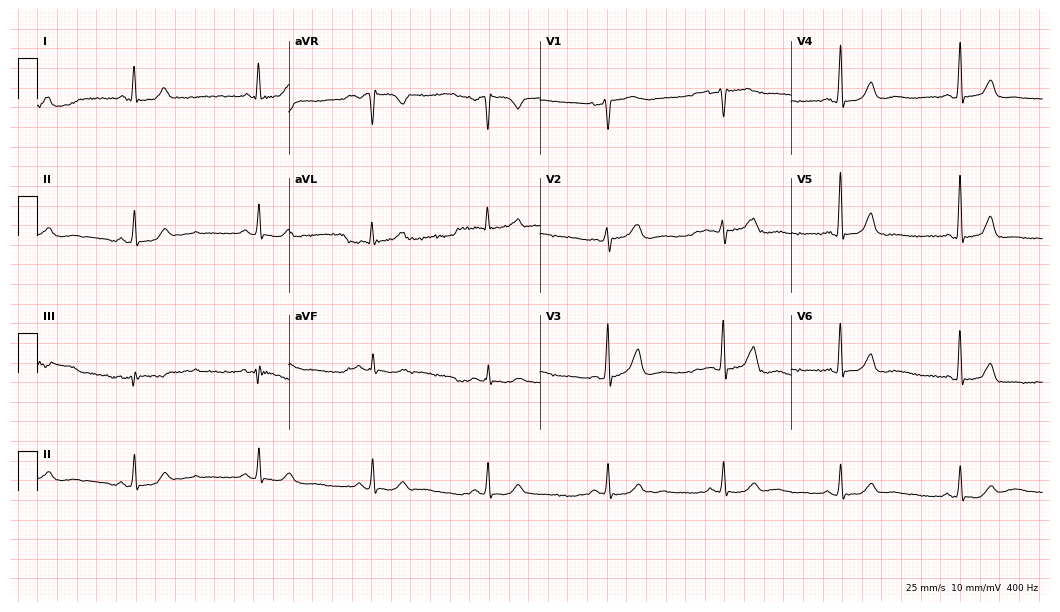
12-lead ECG from a 46-year-old woman. Screened for six findings — first-degree AV block, right bundle branch block, left bundle branch block, sinus bradycardia, atrial fibrillation, sinus tachycardia — none is recorded.